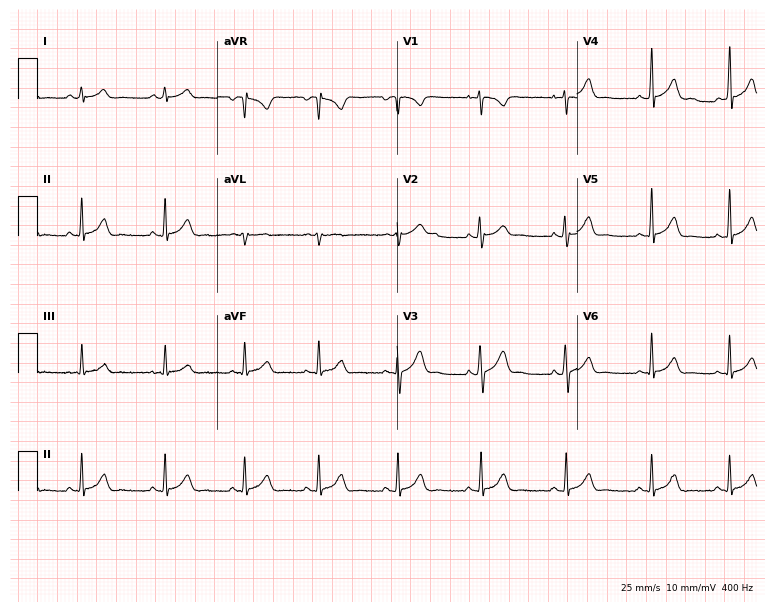
ECG (7.3-second recording at 400 Hz) — a woman, 19 years old. Labelled as a normal ECG.